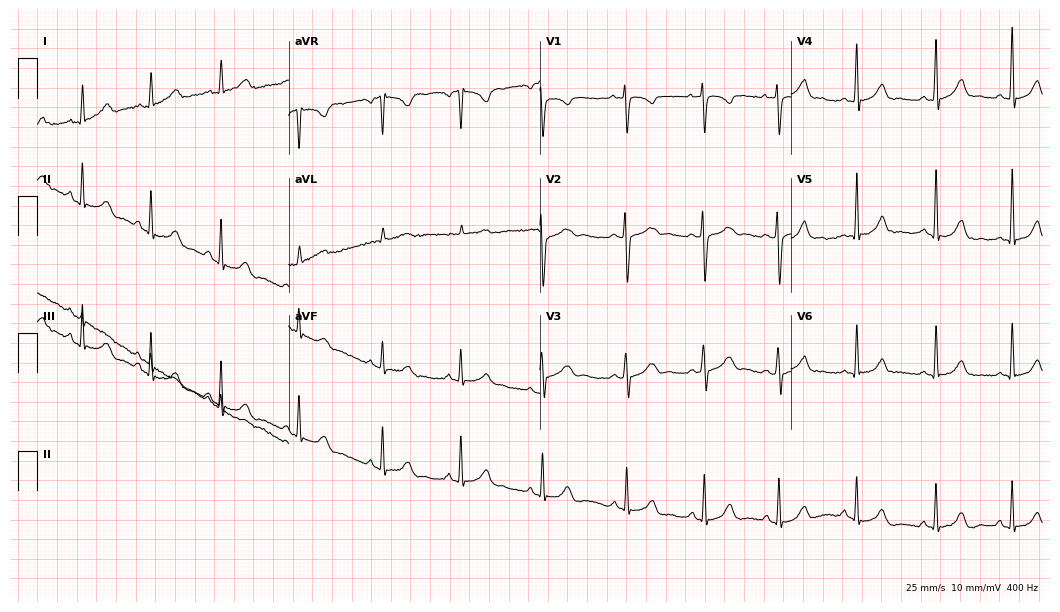
ECG — a 31-year-old woman. Screened for six findings — first-degree AV block, right bundle branch block, left bundle branch block, sinus bradycardia, atrial fibrillation, sinus tachycardia — none is recorded.